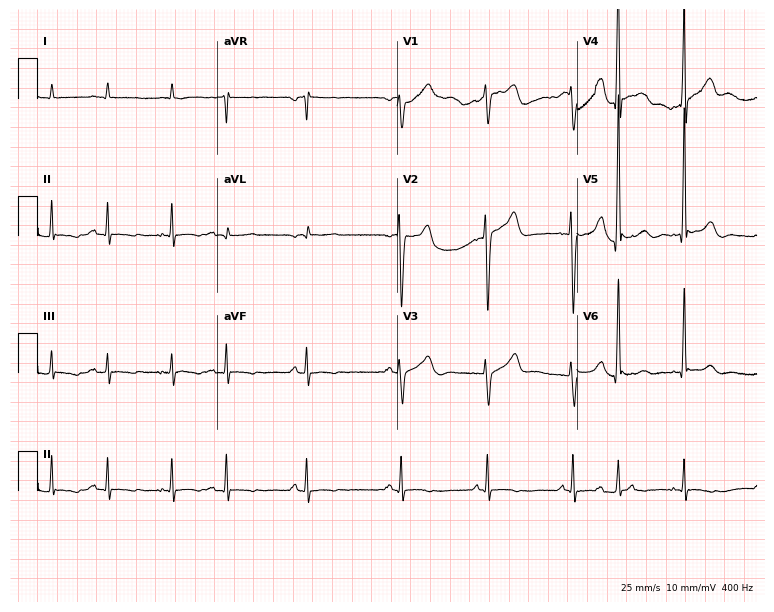
12-lead ECG from a 75-year-old male patient. Screened for six findings — first-degree AV block, right bundle branch block, left bundle branch block, sinus bradycardia, atrial fibrillation, sinus tachycardia — none is recorded. Findings outside these six are not listed.